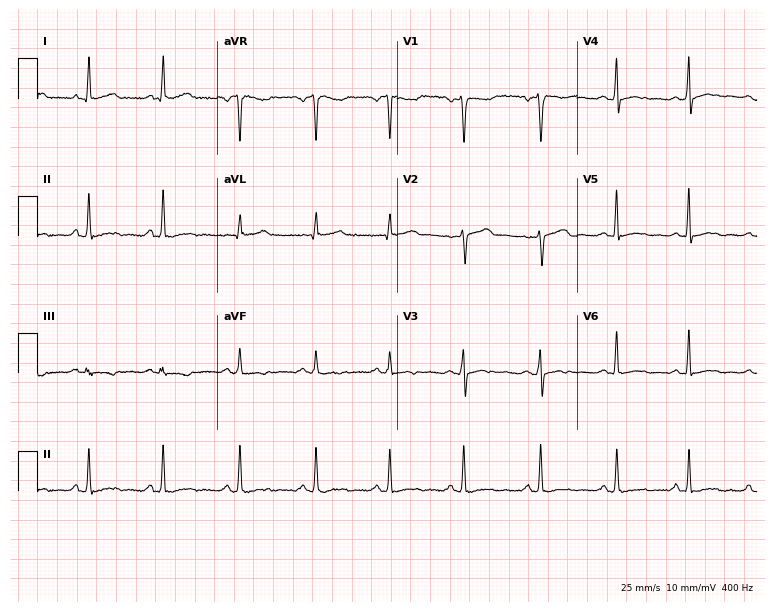
Standard 12-lead ECG recorded from a woman, 44 years old. None of these six findings is recorded: first-degree AV block, right bundle branch block, left bundle branch block, sinus bradycardia, atrial fibrillation, sinus tachycardia. Findings outside these six are not listed.